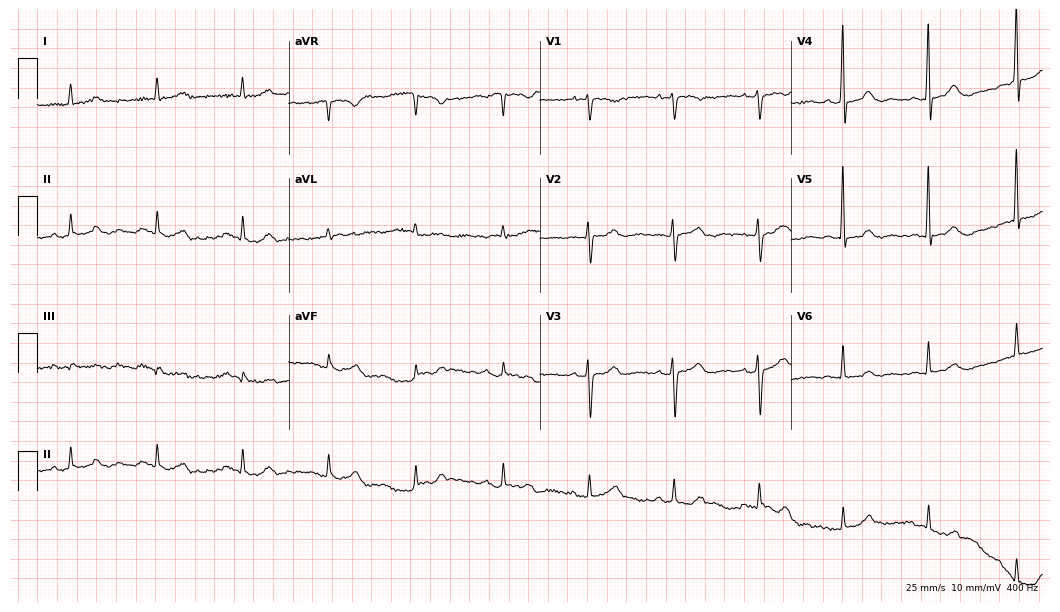
ECG — a woman, 74 years old. Labelled as a normal ECG.